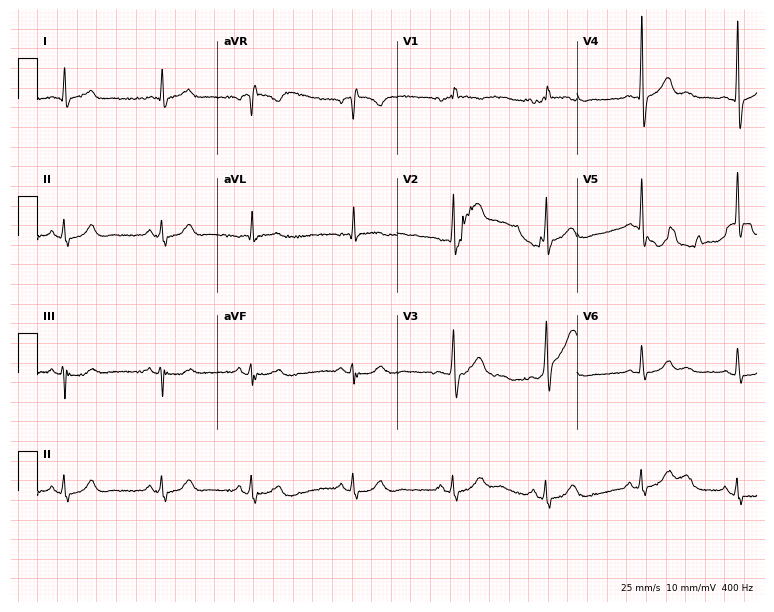
Electrocardiogram, a 64-year-old male. Overall reading on record: normal ECG.